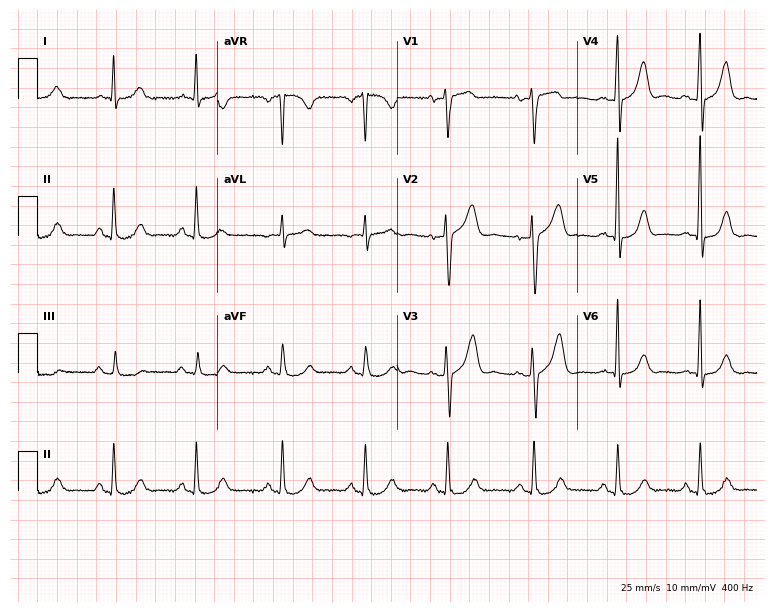
12-lead ECG (7.3-second recording at 400 Hz) from a female, 64 years old. Labelled as a normal ECG.